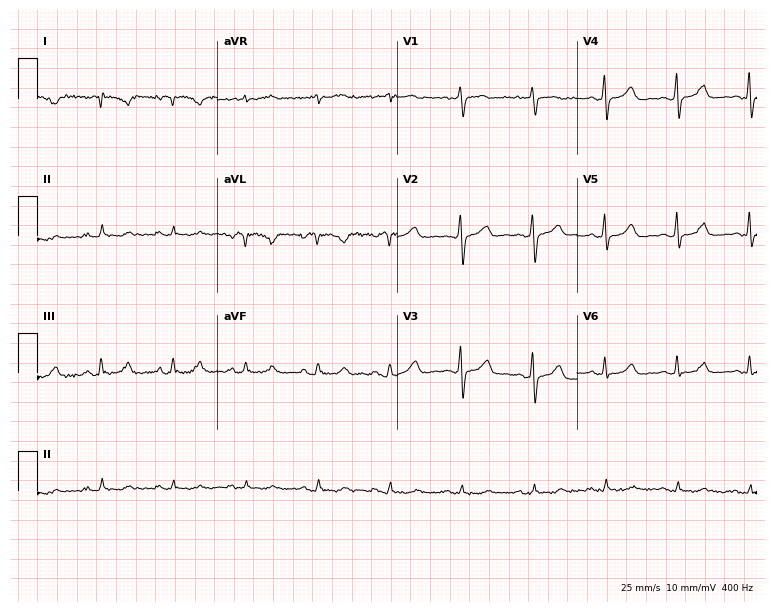
Standard 12-lead ECG recorded from a female patient, 54 years old. None of these six findings is recorded: first-degree AV block, right bundle branch block (RBBB), left bundle branch block (LBBB), sinus bradycardia, atrial fibrillation (AF), sinus tachycardia. Only these six findings were labelled.